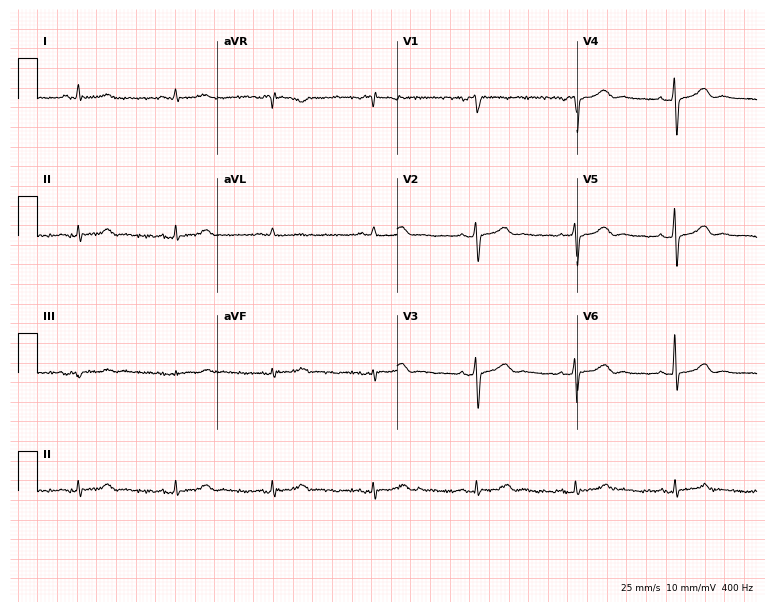
Standard 12-lead ECG recorded from a 76-year-old male. None of these six findings is recorded: first-degree AV block, right bundle branch block, left bundle branch block, sinus bradycardia, atrial fibrillation, sinus tachycardia. Findings outside these six are not listed.